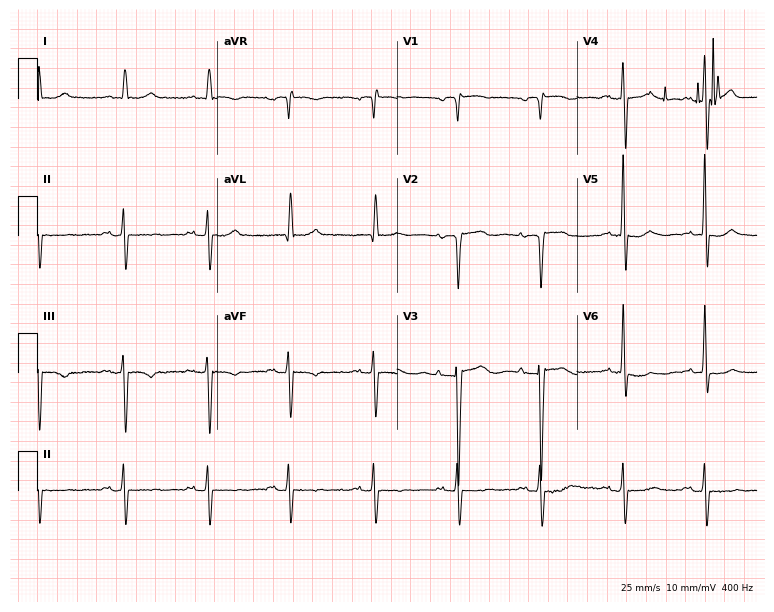
ECG — an 81-year-old female patient. Screened for six findings — first-degree AV block, right bundle branch block (RBBB), left bundle branch block (LBBB), sinus bradycardia, atrial fibrillation (AF), sinus tachycardia — none is recorded.